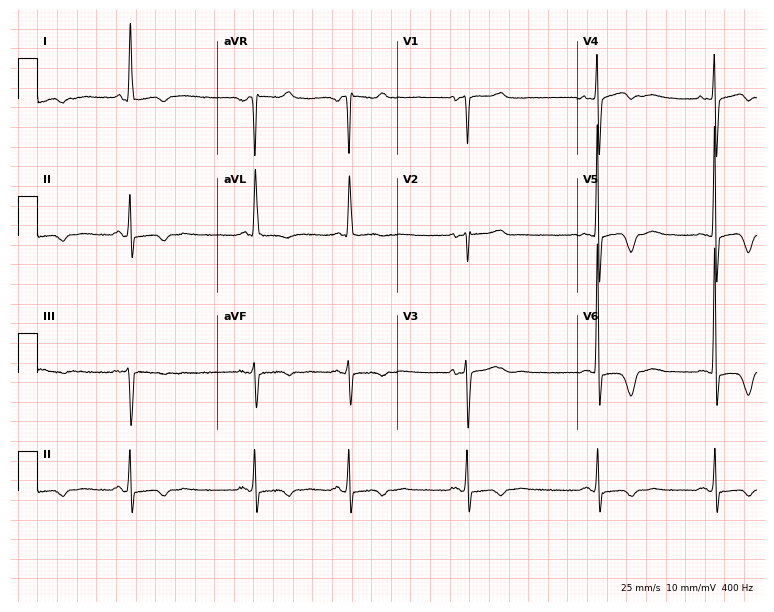
Resting 12-lead electrocardiogram. Patient: a 74-year-old female. None of these six findings is recorded: first-degree AV block, right bundle branch block (RBBB), left bundle branch block (LBBB), sinus bradycardia, atrial fibrillation (AF), sinus tachycardia. Only these six findings were labelled.